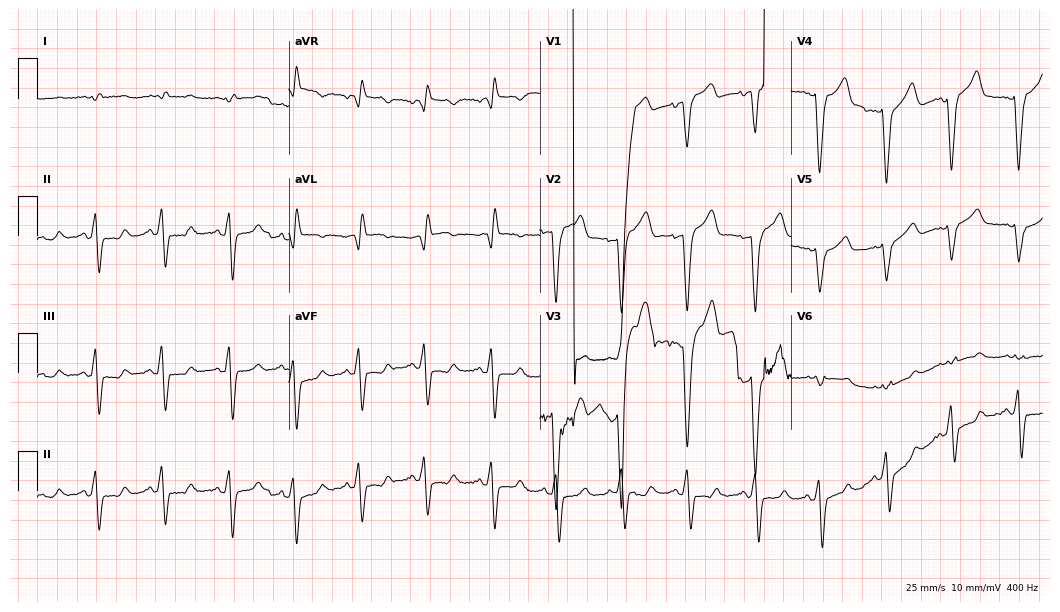
Resting 12-lead electrocardiogram (10.2-second recording at 400 Hz). Patient: a male, 82 years old. None of these six findings is recorded: first-degree AV block, right bundle branch block, left bundle branch block, sinus bradycardia, atrial fibrillation, sinus tachycardia. Only these six findings were labelled.